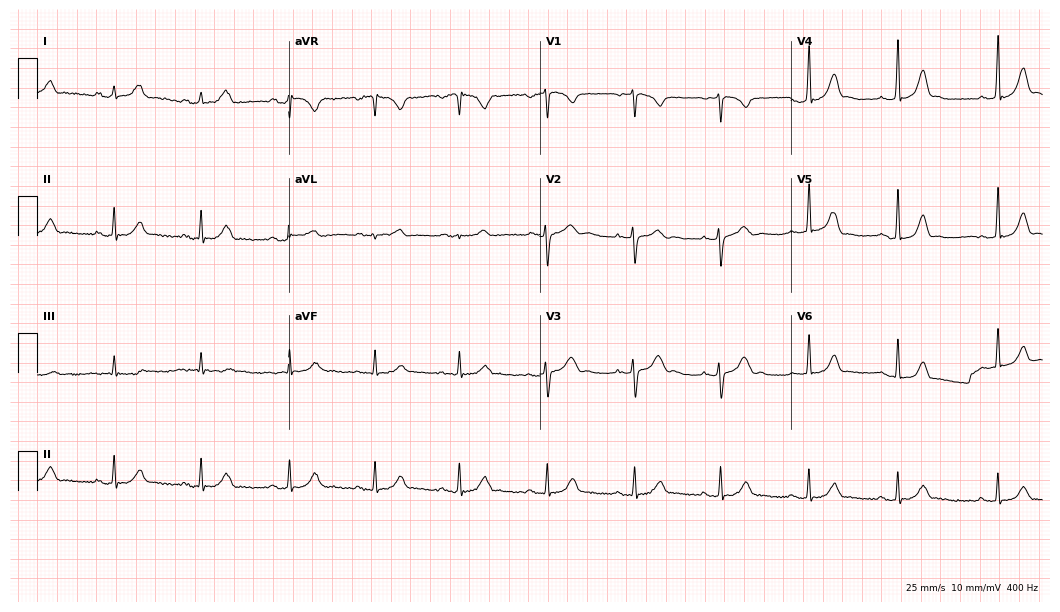
Standard 12-lead ECG recorded from a 26-year-old male. None of these six findings is recorded: first-degree AV block, right bundle branch block (RBBB), left bundle branch block (LBBB), sinus bradycardia, atrial fibrillation (AF), sinus tachycardia.